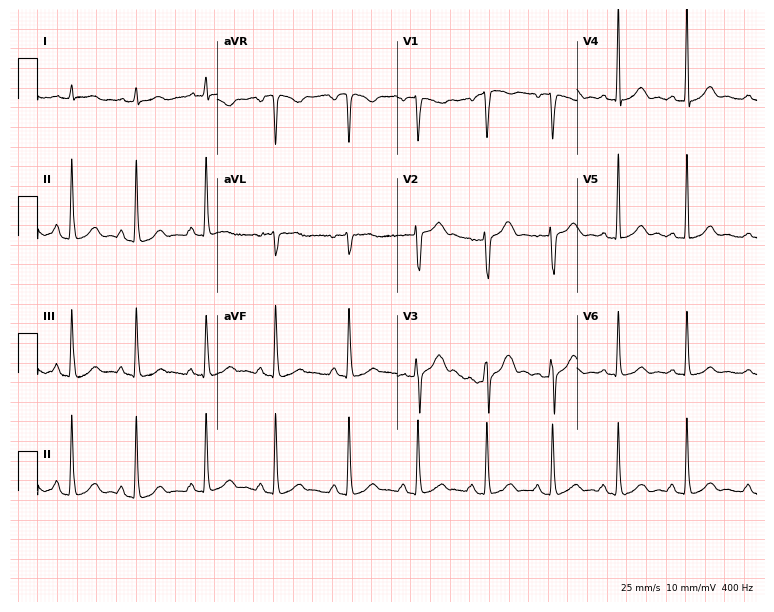
12-lead ECG from a female patient, 29 years old (7.3-second recording at 400 Hz). Recorded interpretation: within normal limits.